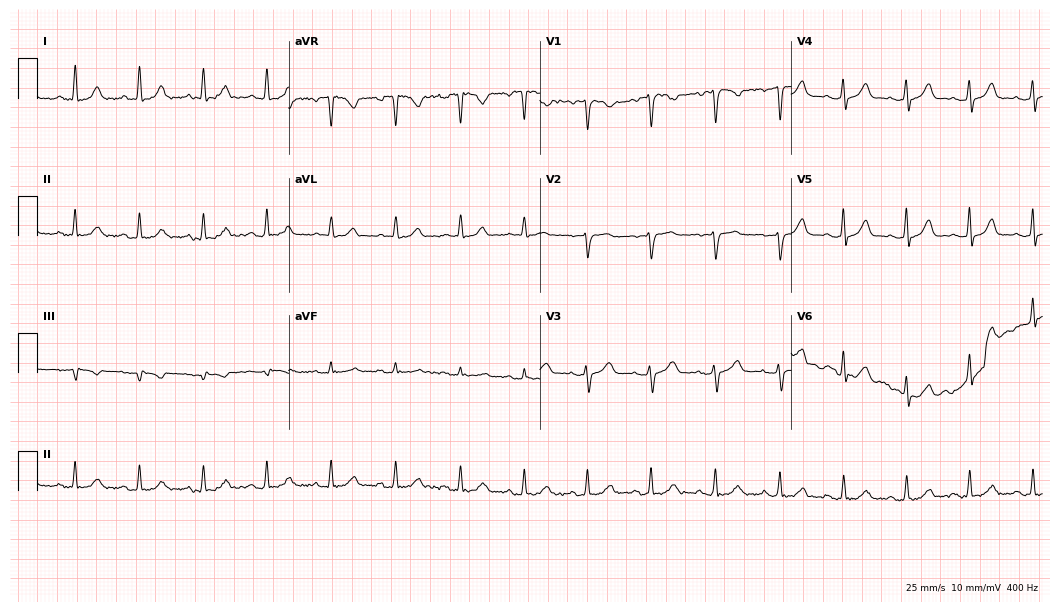
Electrocardiogram, a woman, 39 years old. Overall reading on record: normal ECG.